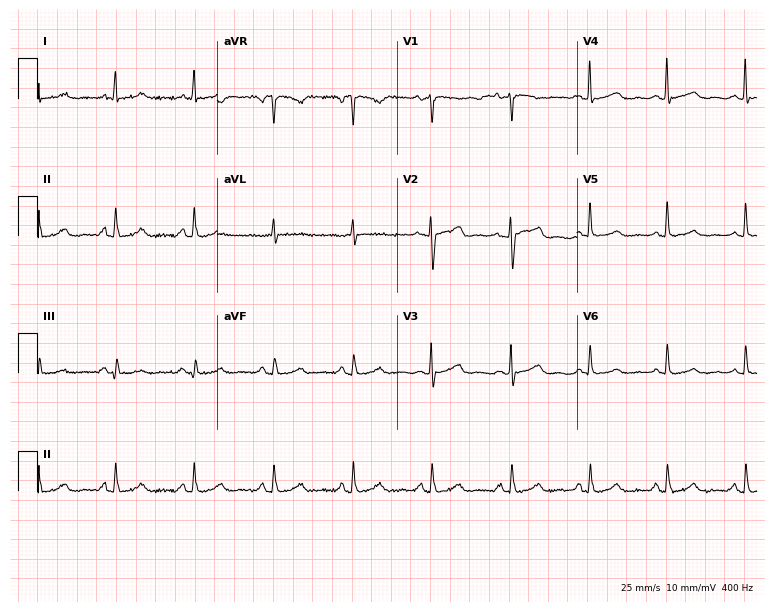
ECG — a female, 41 years old. Screened for six findings — first-degree AV block, right bundle branch block, left bundle branch block, sinus bradycardia, atrial fibrillation, sinus tachycardia — none is recorded. Only these six findings were labelled.